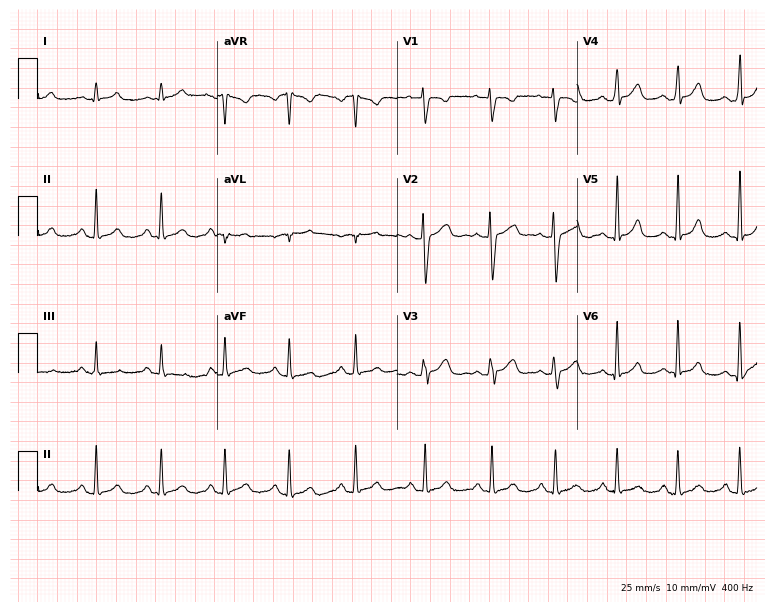
Resting 12-lead electrocardiogram. Patient: a female, 24 years old. Read as a normal ECG.